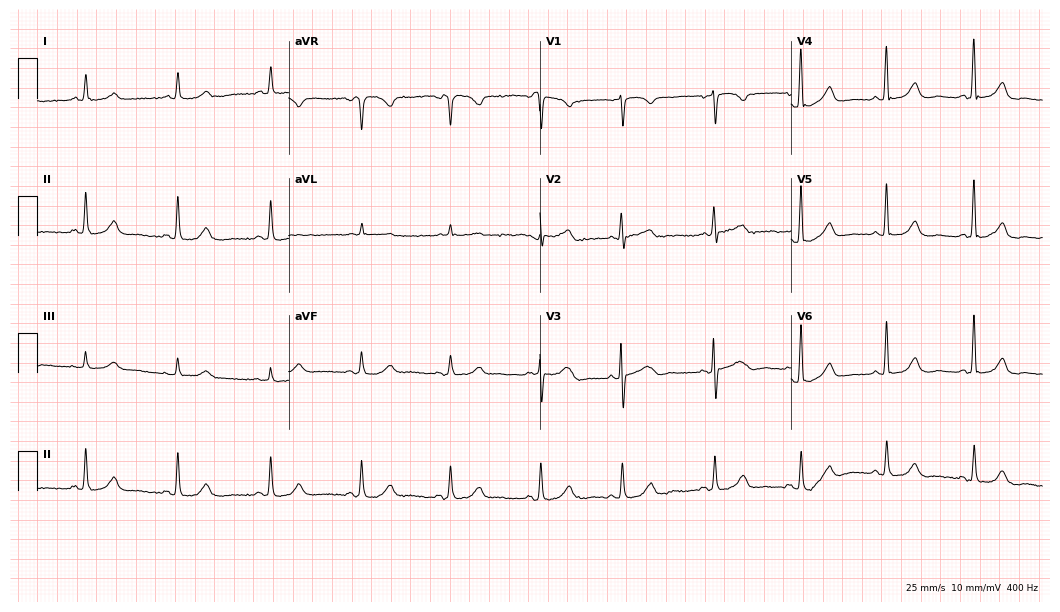
Standard 12-lead ECG recorded from a woman, 82 years old (10.2-second recording at 400 Hz). Read as a normal ECG.